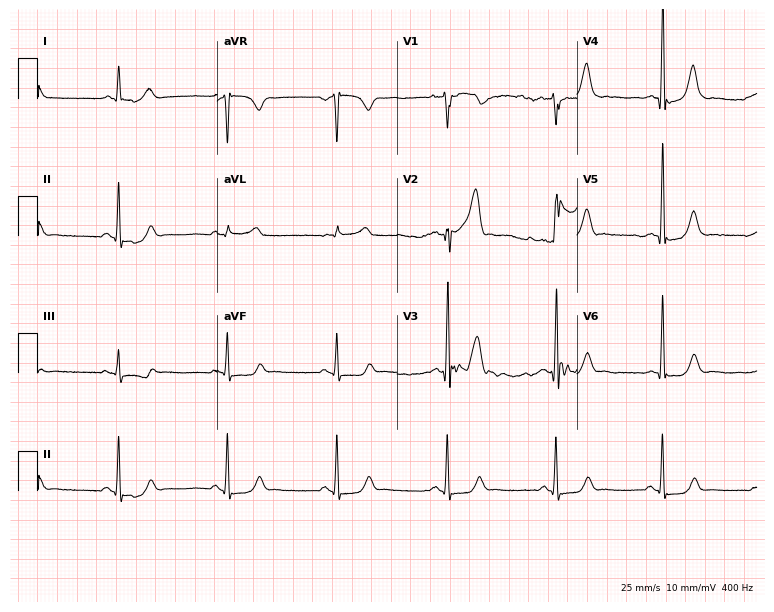
ECG (7.3-second recording at 400 Hz) — a man, 60 years old. Labelled as a normal ECG.